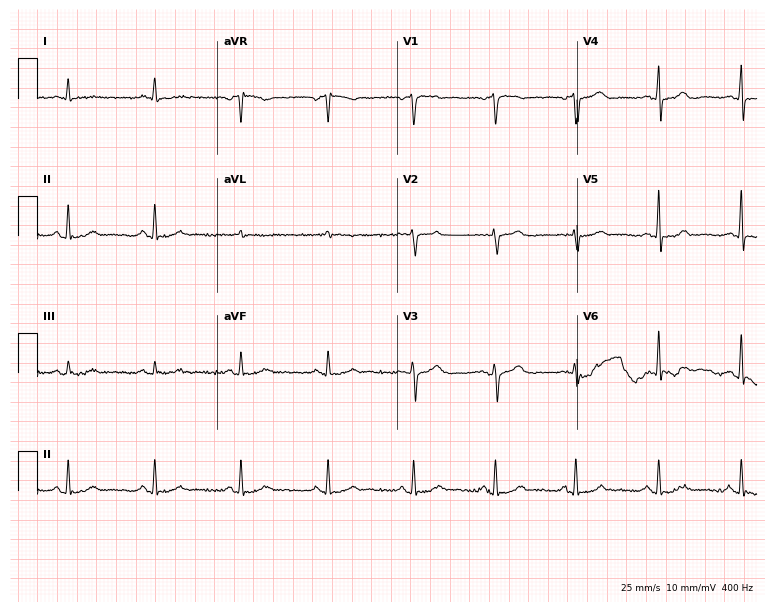
Resting 12-lead electrocardiogram (7.3-second recording at 400 Hz). Patient: a 62-year-old male. None of these six findings is recorded: first-degree AV block, right bundle branch block, left bundle branch block, sinus bradycardia, atrial fibrillation, sinus tachycardia. Findings outside these six are not listed.